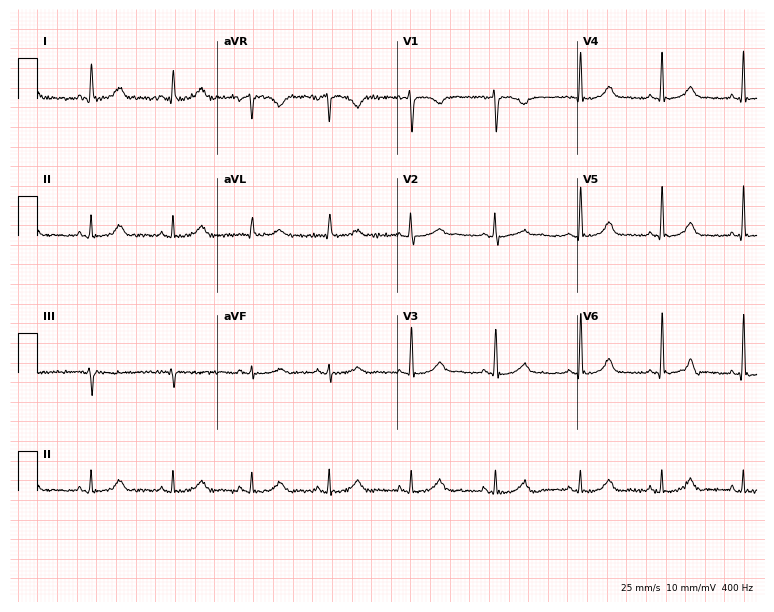
12-lead ECG from a female patient, 42 years old. Labelled as a normal ECG.